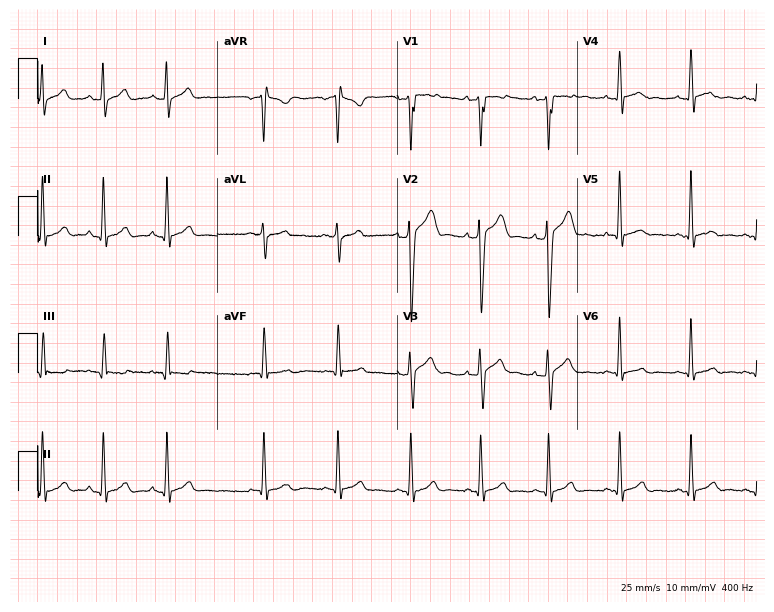
Electrocardiogram, a man, 23 years old. Overall reading on record: normal ECG.